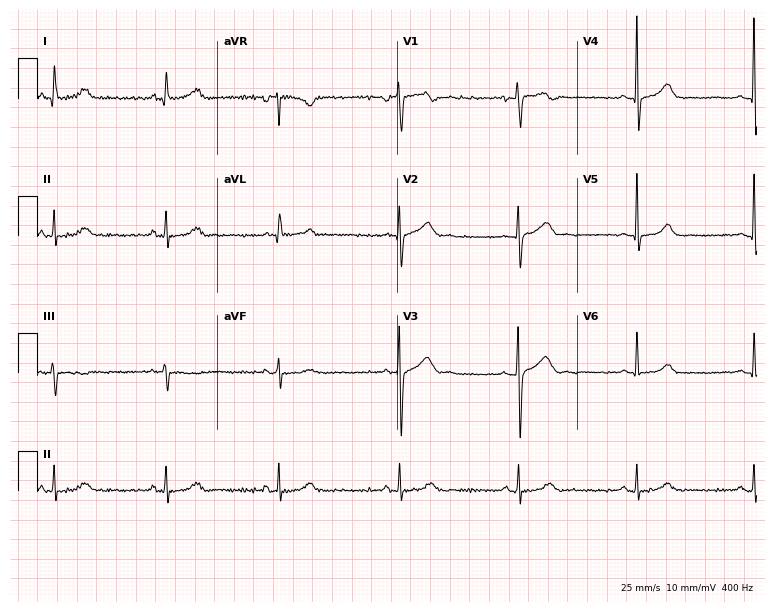
12-lead ECG from a 36-year-old woman. Labelled as a normal ECG.